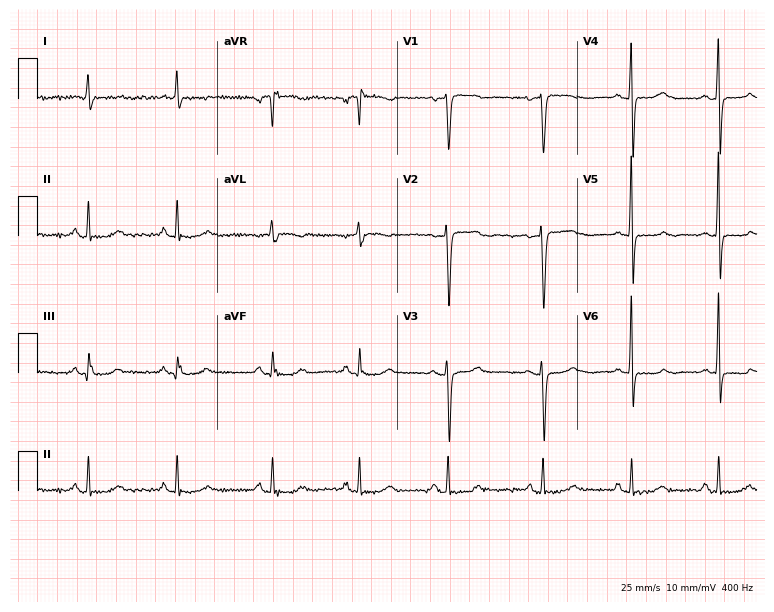
Standard 12-lead ECG recorded from a woman, 73 years old. None of these six findings is recorded: first-degree AV block, right bundle branch block (RBBB), left bundle branch block (LBBB), sinus bradycardia, atrial fibrillation (AF), sinus tachycardia. Only these six findings were labelled.